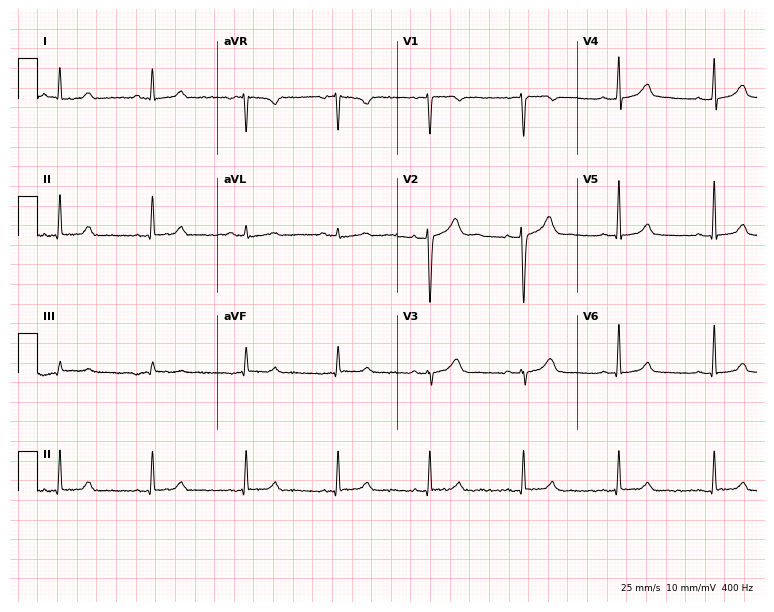
ECG (7.3-second recording at 400 Hz) — a 42-year-old female patient. Labelled as a normal ECG.